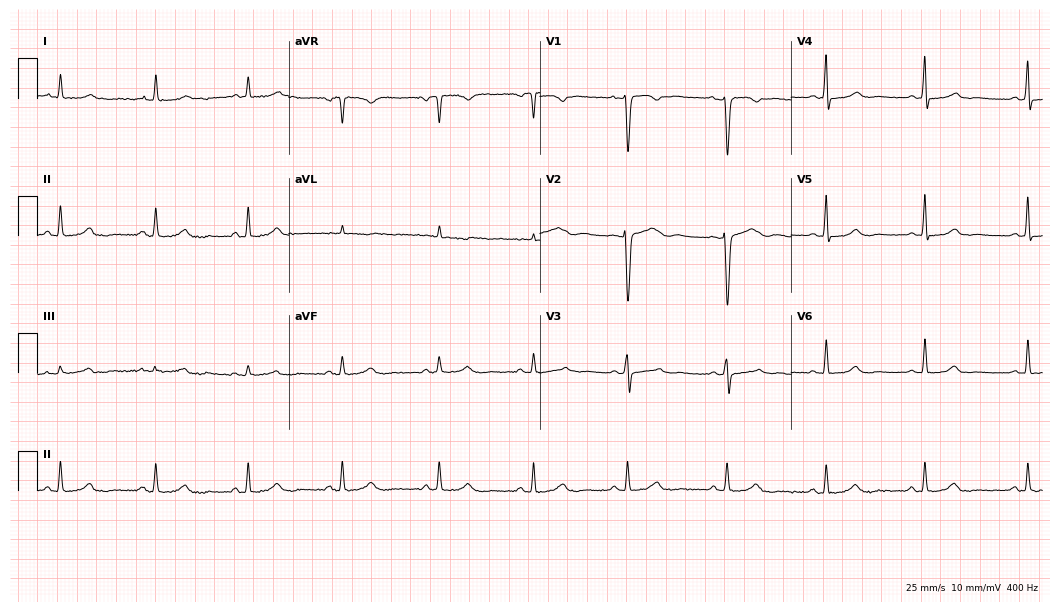
12-lead ECG (10.2-second recording at 400 Hz) from a female, 35 years old. Screened for six findings — first-degree AV block, right bundle branch block, left bundle branch block, sinus bradycardia, atrial fibrillation, sinus tachycardia — none is recorded. Only these six findings were labelled.